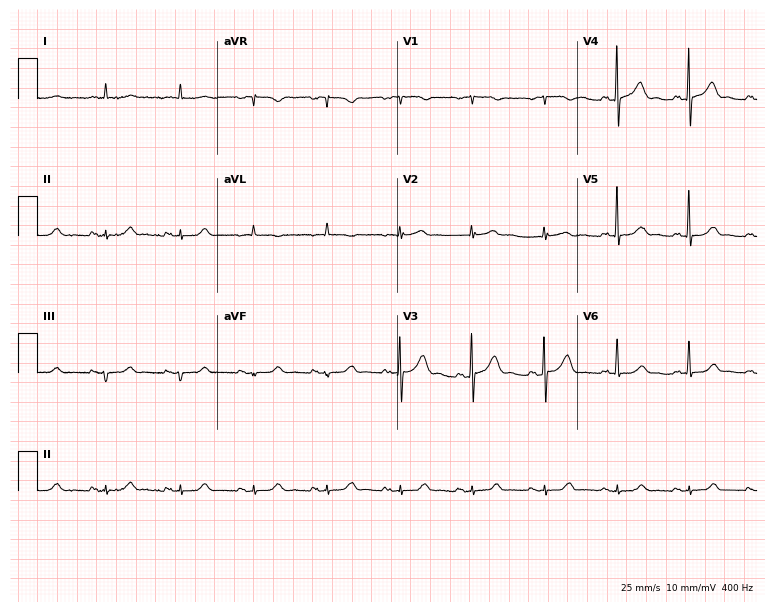
Electrocardiogram, a male, 84 years old. Of the six screened findings (first-degree AV block, right bundle branch block, left bundle branch block, sinus bradycardia, atrial fibrillation, sinus tachycardia), none is recorded. Other findings, if any, are not listed.